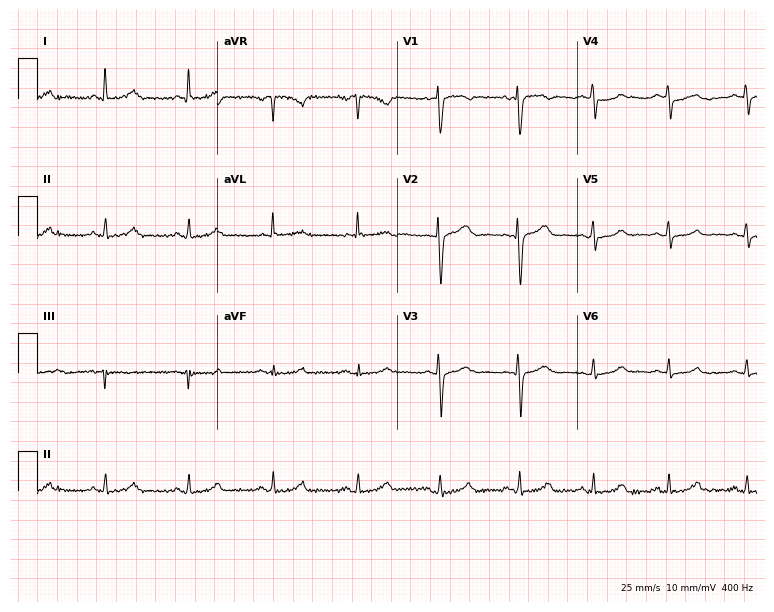
12-lead ECG from a woman, 47 years old (7.3-second recording at 400 Hz). No first-degree AV block, right bundle branch block, left bundle branch block, sinus bradycardia, atrial fibrillation or sinus tachycardia recorded for this tracing.